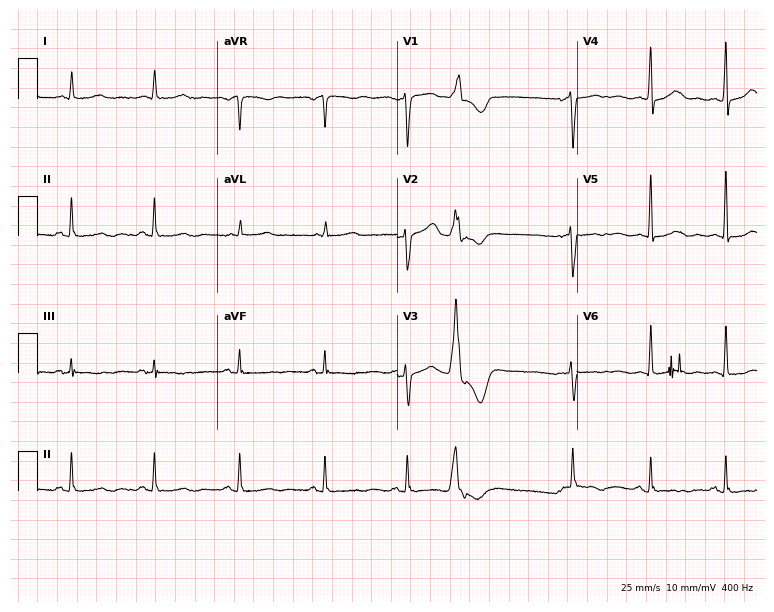
Standard 12-lead ECG recorded from a woman, 58 years old (7.3-second recording at 400 Hz). None of these six findings is recorded: first-degree AV block, right bundle branch block, left bundle branch block, sinus bradycardia, atrial fibrillation, sinus tachycardia. Findings outside these six are not listed.